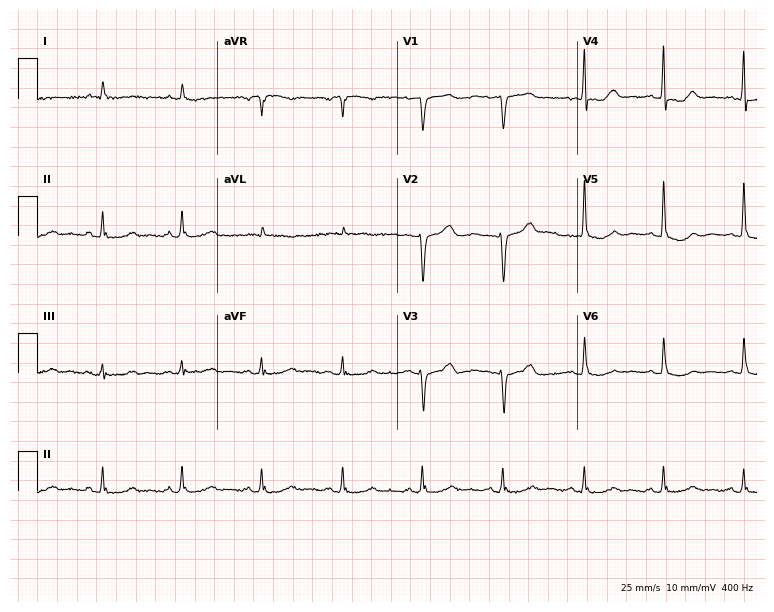
Electrocardiogram, a 74-year-old male patient. Of the six screened findings (first-degree AV block, right bundle branch block, left bundle branch block, sinus bradycardia, atrial fibrillation, sinus tachycardia), none is recorded.